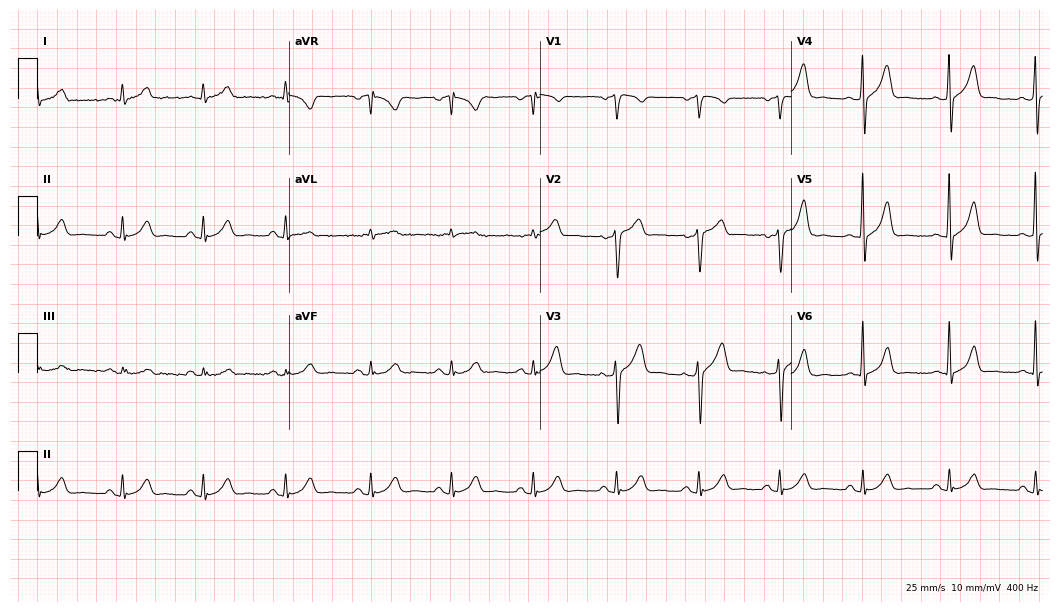
Standard 12-lead ECG recorded from a male, 50 years old (10.2-second recording at 400 Hz). Read as a normal ECG.